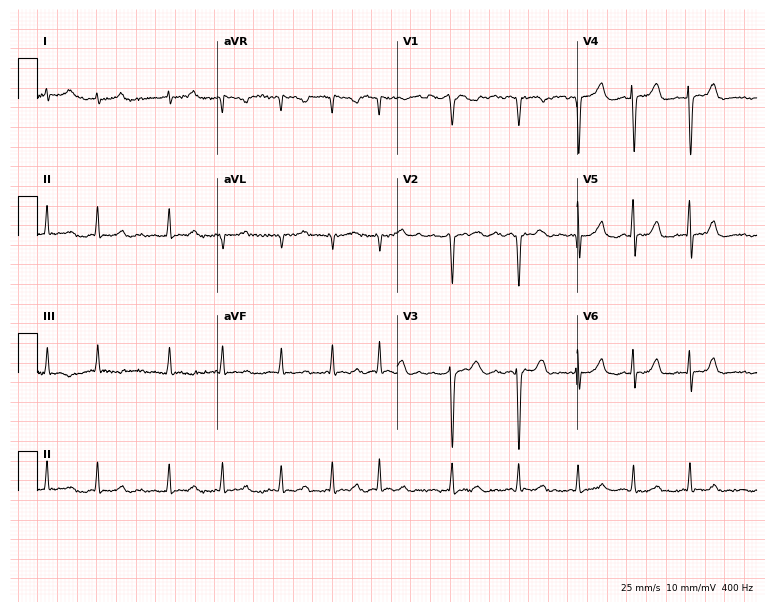
ECG — a 79-year-old female patient. Findings include atrial fibrillation (AF).